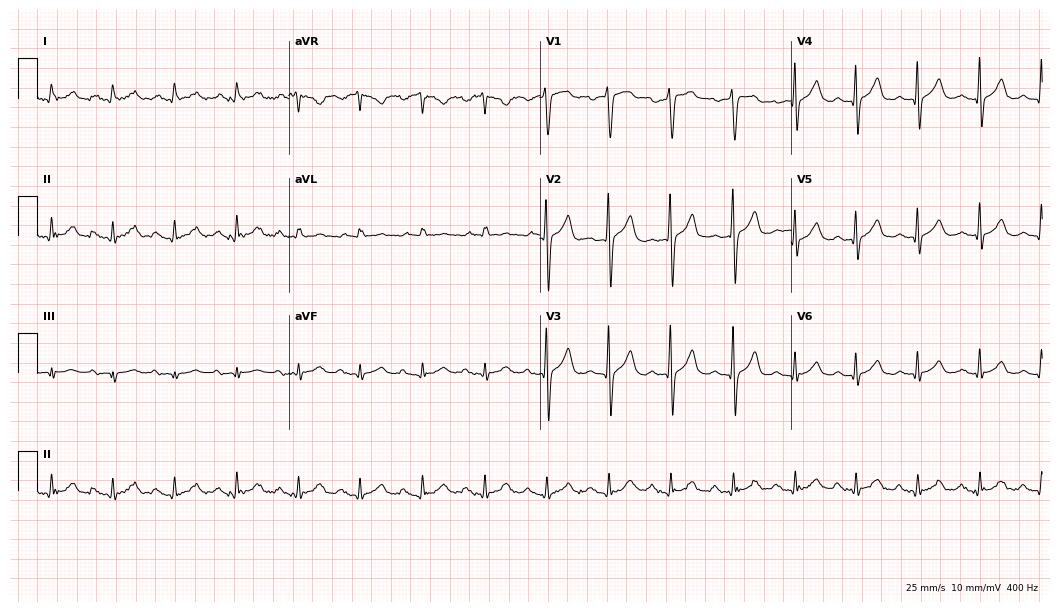
12-lead ECG (10.2-second recording at 400 Hz) from a 74-year-old male patient. Labelled as a normal ECG.